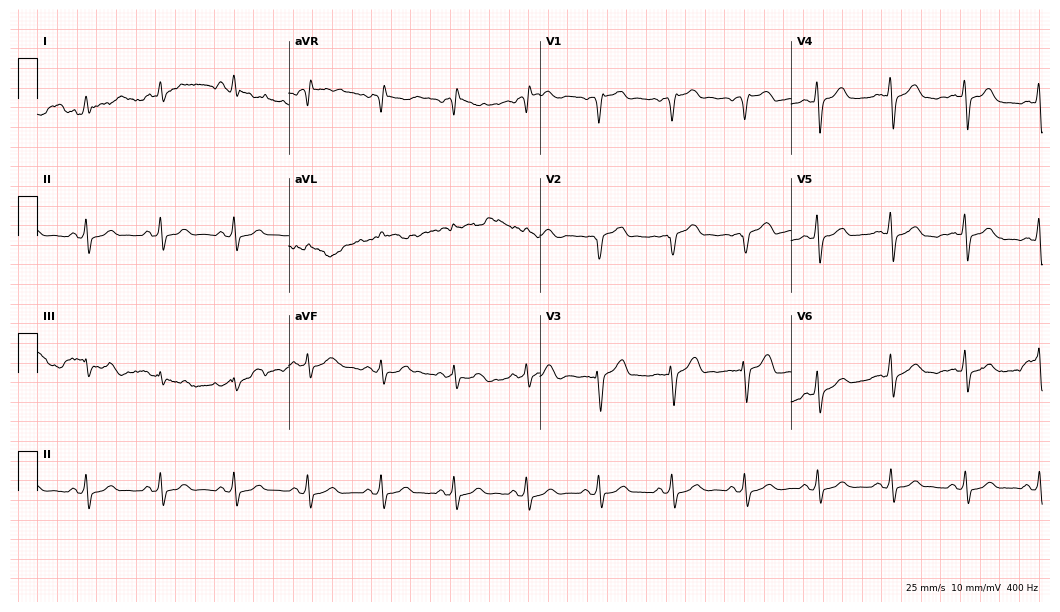
Standard 12-lead ECG recorded from a man, 59 years old. None of these six findings is recorded: first-degree AV block, right bundle branch block, left bundle branch block, sinus bradycardia, atrial fibrillation, sinus tachycardia. Findings outside these six are not listed.